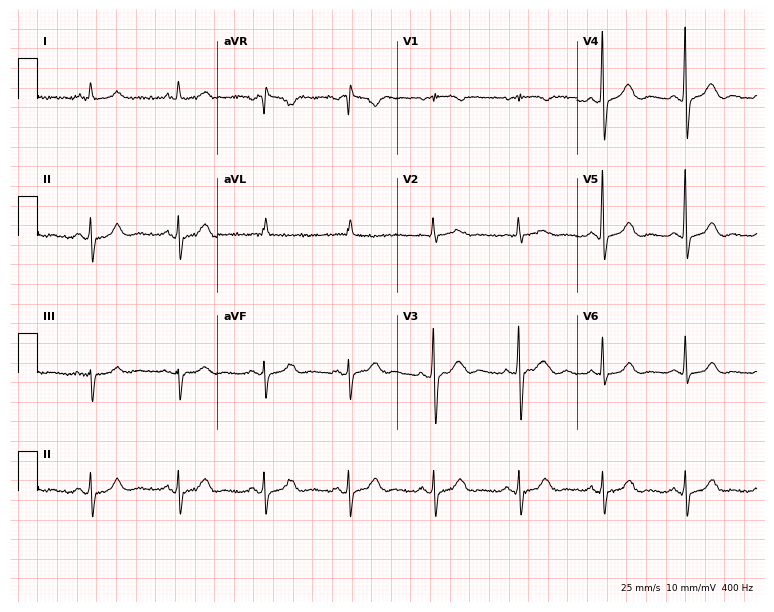
ECG — a 78-year-old female. Screened for six findings — first-degree AV block, right bundle branch block, left bundle branch block, sinus bradycardia, atrial fibrillation, sinus tachycardia — none is recorded.